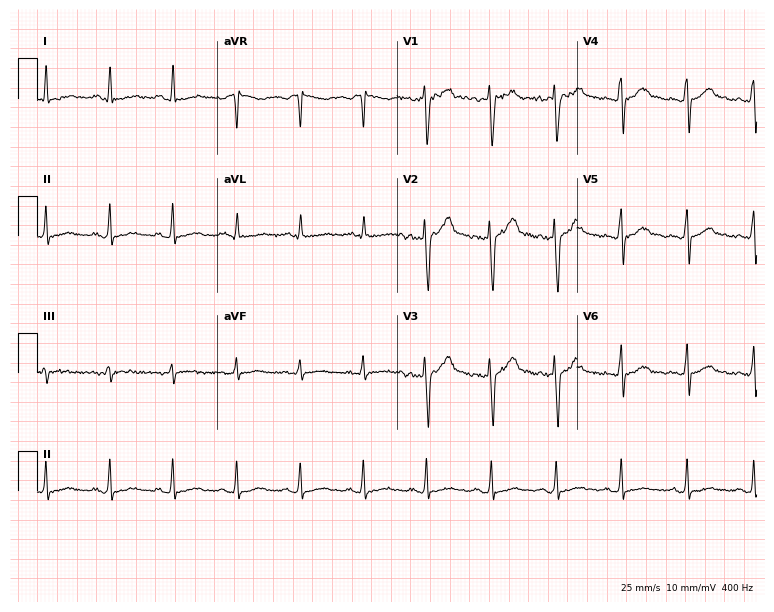
12-lead ECG from a man, 25 years old (7.3-second recording at 400 Hz). No first-degree AV block, right bundle branch block (RBBB), left bundle branch block (LBBB), sinus bradycardia, atrial fibrillation (AF) or sinus tachycardia recorded for this tracing.